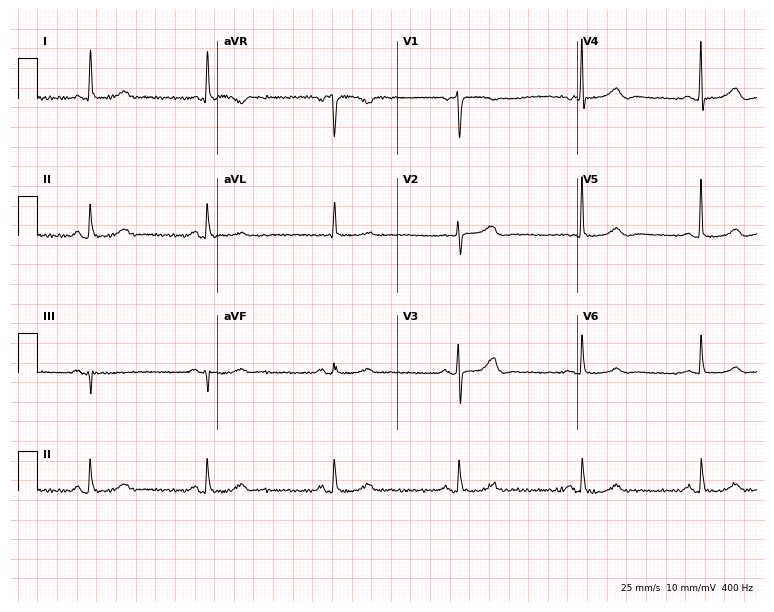
Resting 12-lead electrocardiogram. Patient: a female, 72 years old. Read as a normal ECG.